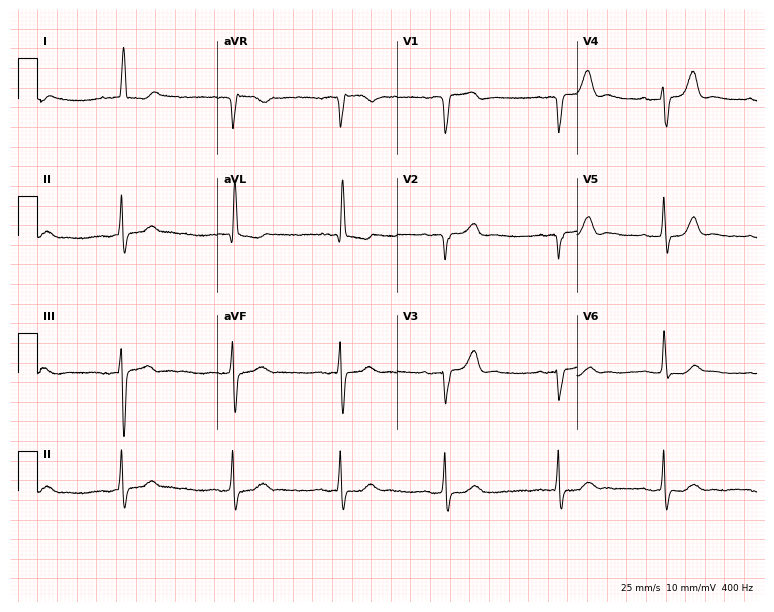
ECG — an 84-year-old female patient. Screened for six findings — first-degree AV block, right bundle branch block, left bundle branch block, sinus bradycardia, atrial fibrillation, sinus tachycardia — none is recorded. Other findings, if any, are not listed.